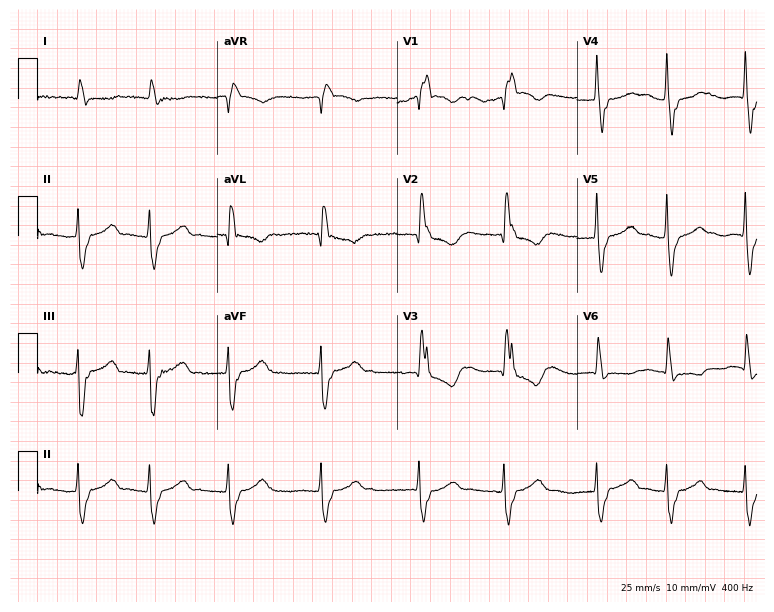
12-lead ECG from a woman, 80 years old (7.3-second recording at 400 Hz). Shows right bundle branch block, atrial fibrillation.